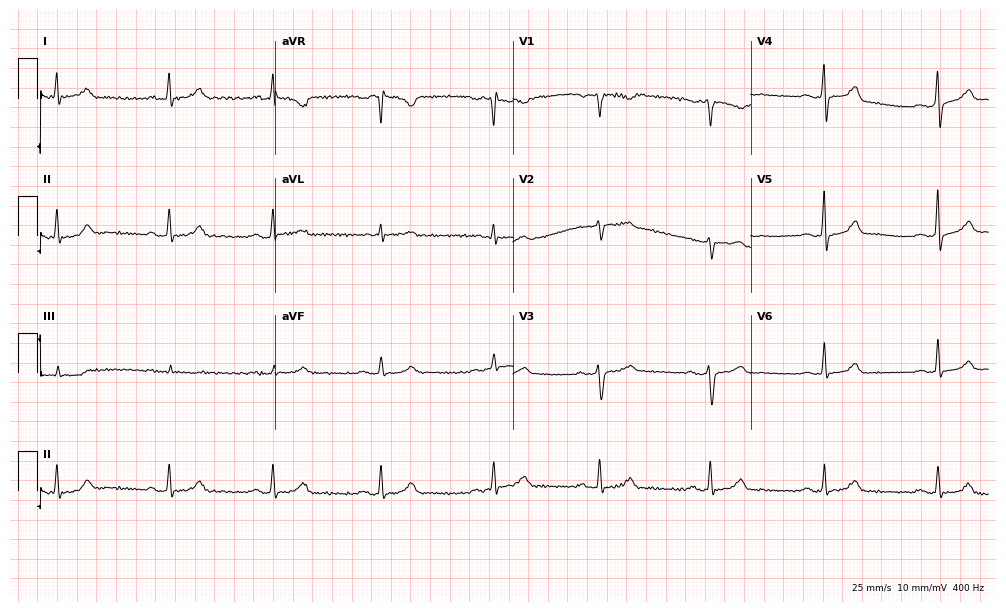
12-lead ECG from a 65-year-old male patient (9.7-second recording at 400 Hz). Recorded interpretation: within normal limits.